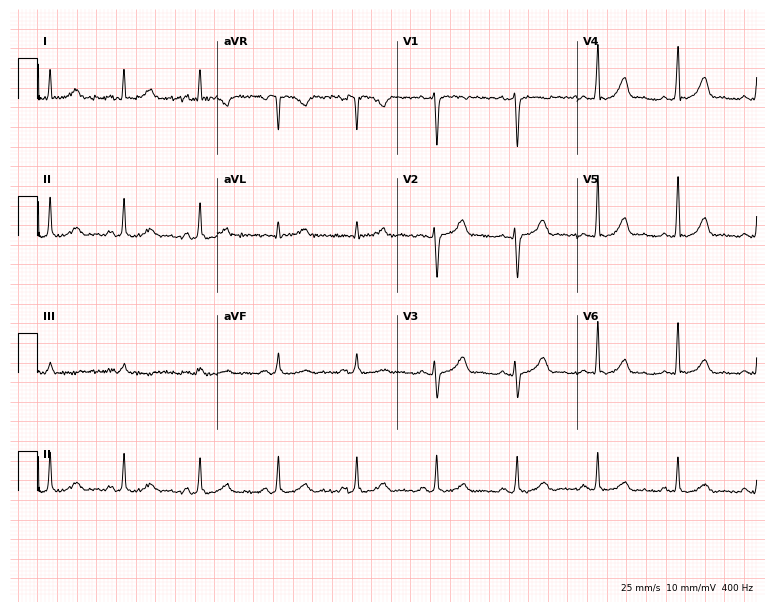
Electrocardiogram (7.3-second recording at 400 Hz), a woman, 41 years old. Overall reading on record: normal ECG.